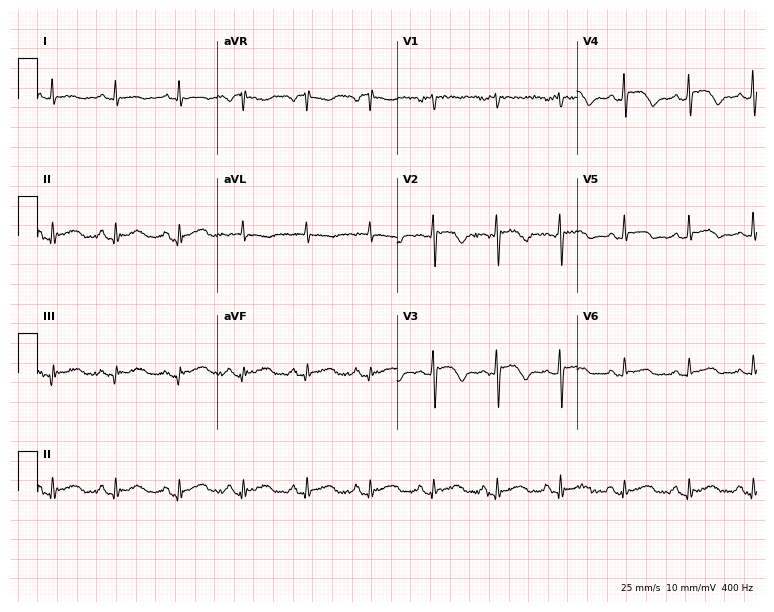
Standard 12-lead ECG recorded from a female patient, 63 years old (7.3-second recording at 400 Hz). None of these six findings is recorded: first-degree AV block, right bundle branch block (RBBB), left bundle branch block (LBBB), sinus bradycardia, atrial fibrillation (AF), sinus tachycardia. Other findings, if any, are not listed.